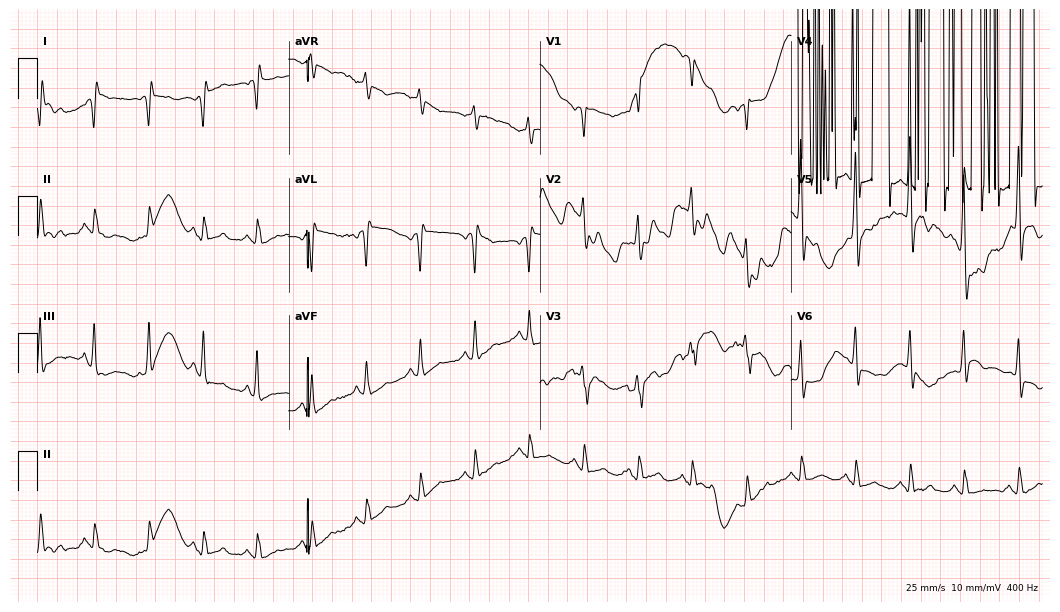
12-lead ECG from a 73-year-old female patient (10.2-second recording at 400 Hz). No first-degree AV block, right bundle branch block, left bundle branch block, sinus bradycardia, atrial fibrillation or sinus tachycardia recorded for this tracing.